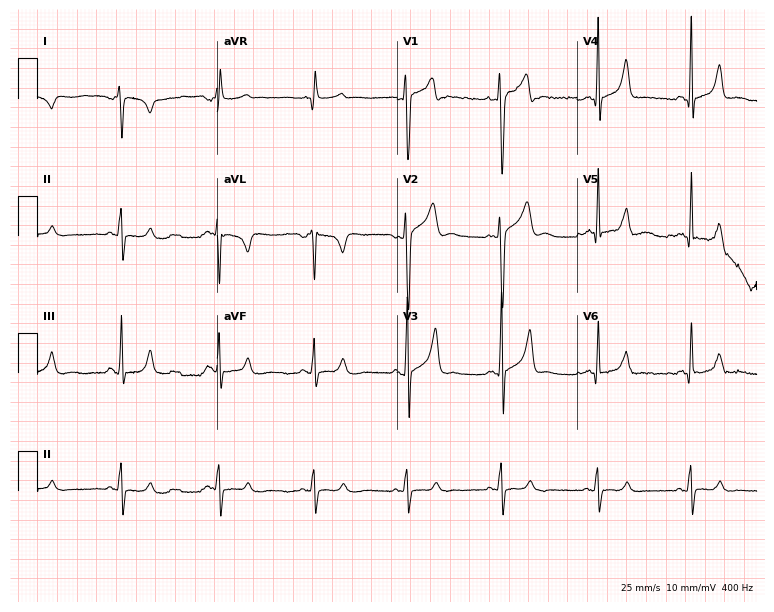
Electrocardiogram (7.3-second recording at 400 Hz), a man, 23 years old. Of the six screened findings (first-degree AV block, right bundle branch block, left bundle branch block, sinus bradycardia, atrial fibrillation, sinus tachycardia), none is recorded. Only these six findings were labelled.